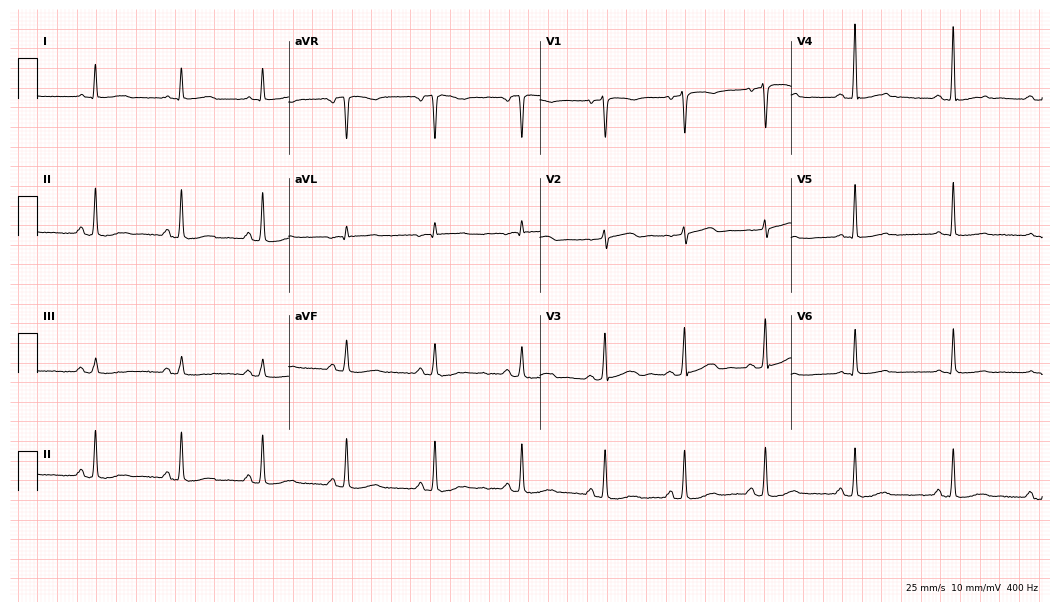
Electrocardiogram, a woman, 57 years old. Of the six screened findings (first-degree AV block, right bundle branch block, left bundle branch block, sinus bradycardia, atrial fibrillation, sinus tachycardia), none is recorded. Findings outside these six are not listed.